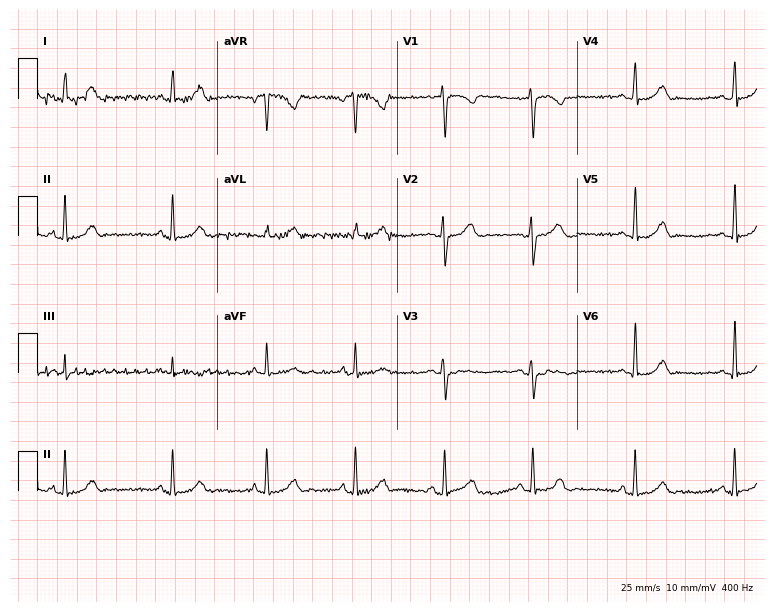
12-lead ECG from a female, 34 years old. Recorded interpretation: within normal limits.